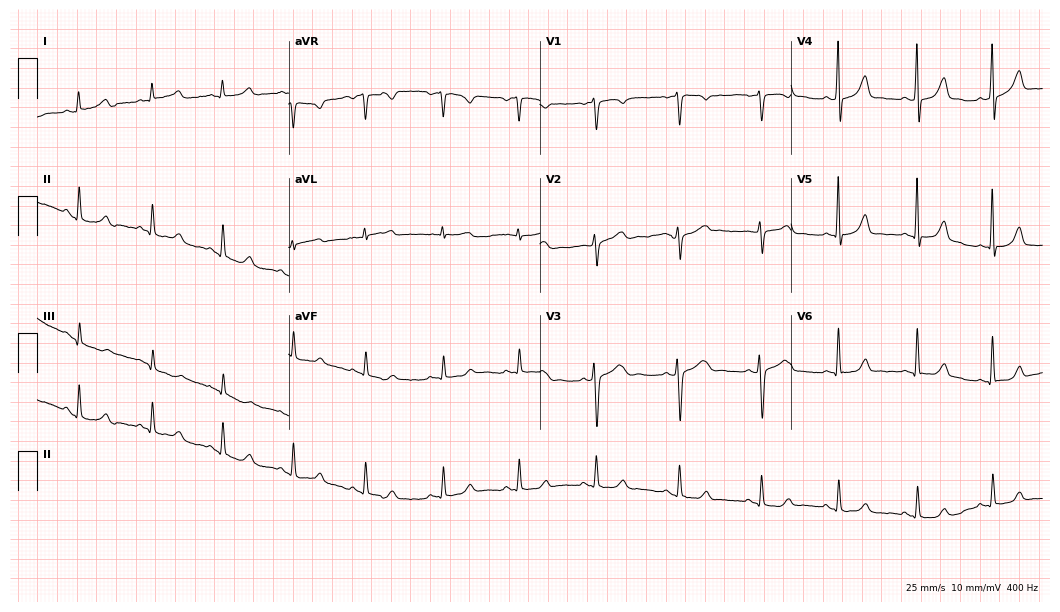
ECG — a woman, 28 years old. Labelled as a normal ECG.